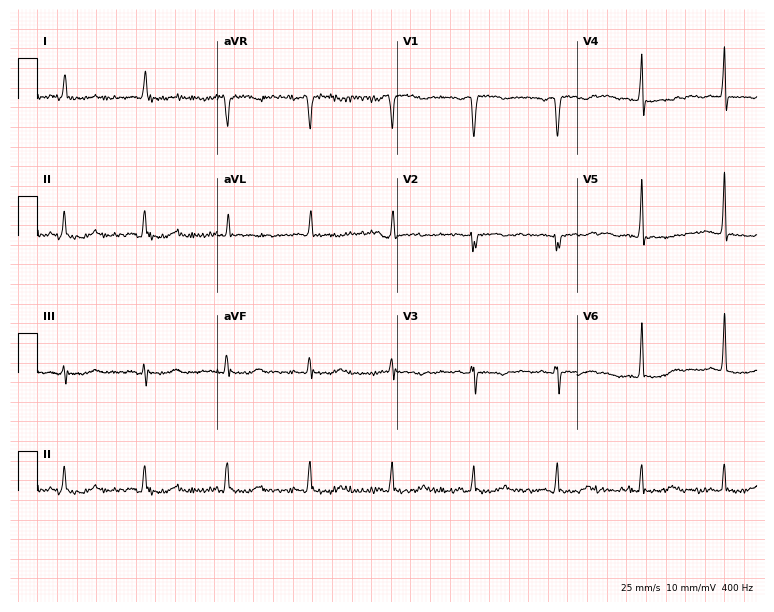
12-lead ECG (7.3-second recording at 400 Hz) from a female, 76 years old. Screened for six findings — first-degree AV block, right bundle branch block, left bundle branch block, sinus bradycardia, atrial fibrillation, sinus tachycardia — none is recorded. Only these six findings were labelled.